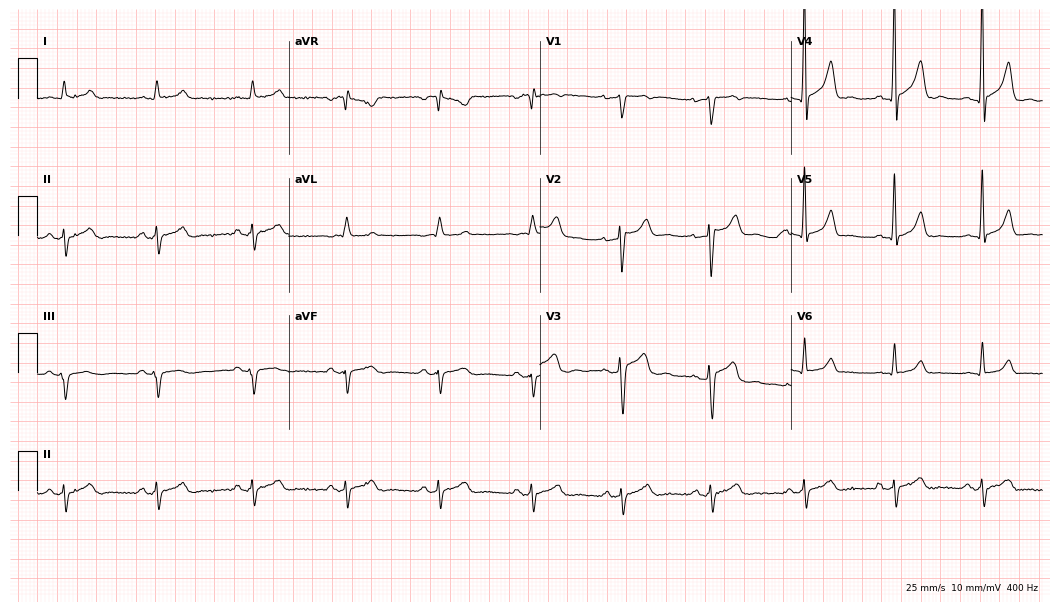
Resting 12-lead electrocardiogram. Patient: a 29-year-old male. None of these six findings is recorded: first-degree AV block, right bundle branch block (RBBB), left bundle branch block (LBBB), sinus bradycardia, atrial fibrillation (AF), sinus tachycardia. Only these six findings were labelled.